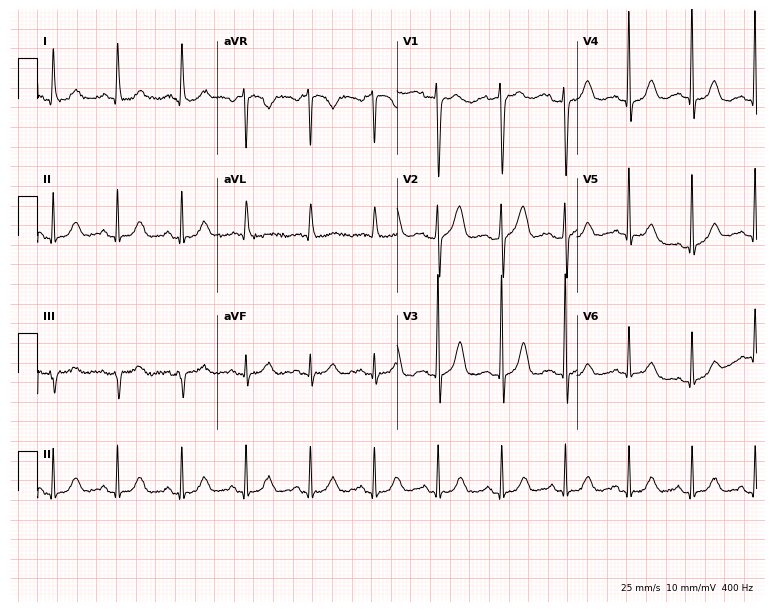
Electrocardiogram, a 65-year-old female patient. Overall reading on record: normal ECG.